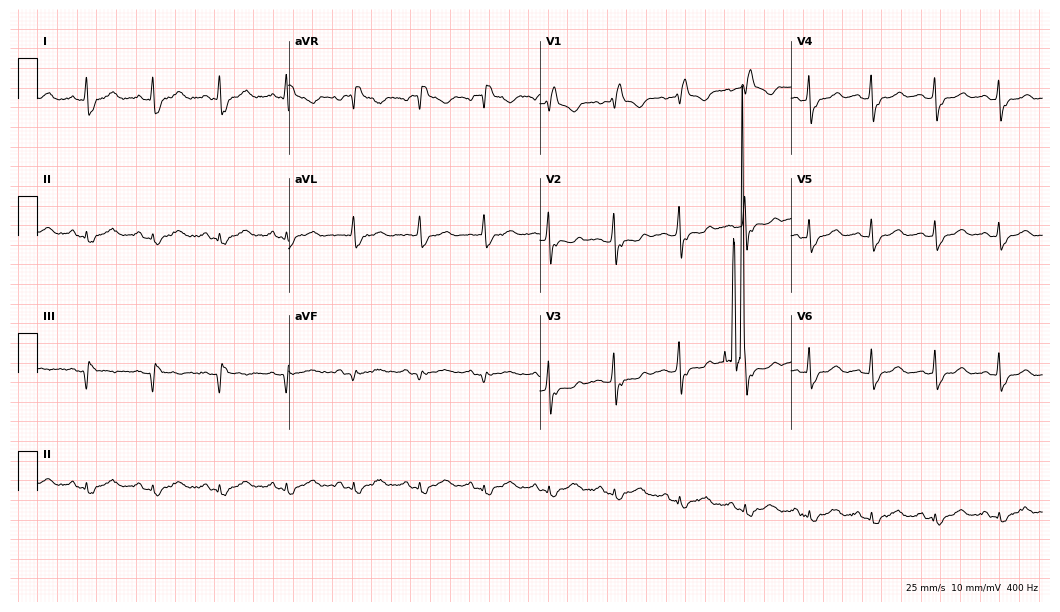
12-lead ECG from a female, 57 years old. Screened for six findings — first-degree AV block, right bundle branch block, left bundle branch block, sinus bradycardia, atrial fibrillation, sinus tachycardia — none is recorded. Only these six findings were labelled.